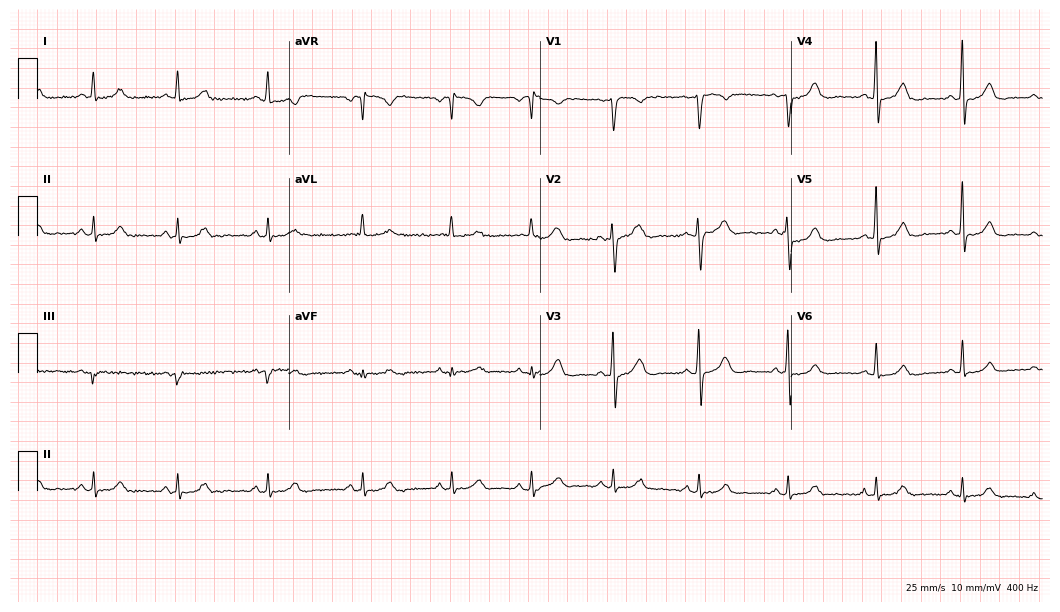
12-lead ECG from a 48-year-old woman. Recorded interpretation: within normal limits.